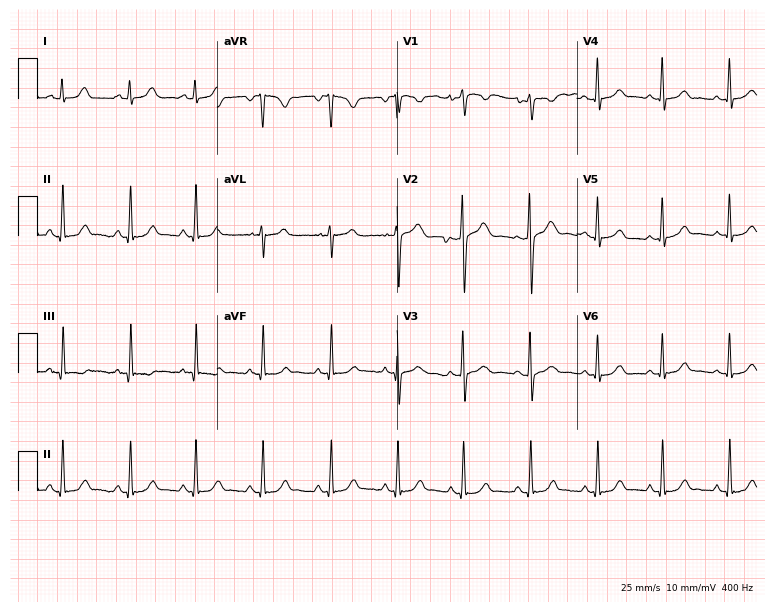
Resting 12-lead electrocardiogram (7.3-second recording at 400 Hz). Patient: a female, 25 years old. None of these six findings is recorded: first-degree AV block, right bundle branch block, left bundle branch block, sinus bradycardia, atrial fibrillation, sinus tachycardia.